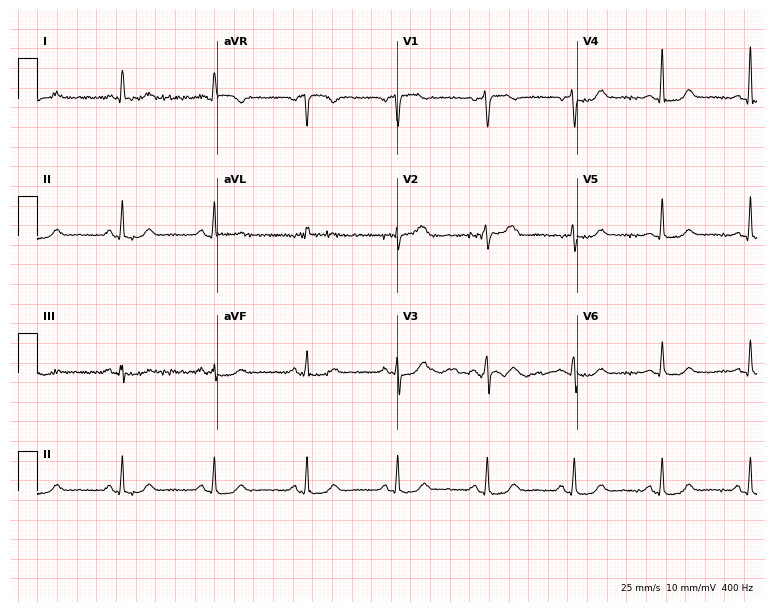
12-lead ECG from a 67-year-old woman (7.3-second recording at 400 Hz). Recorded interpretation: within normal limits.